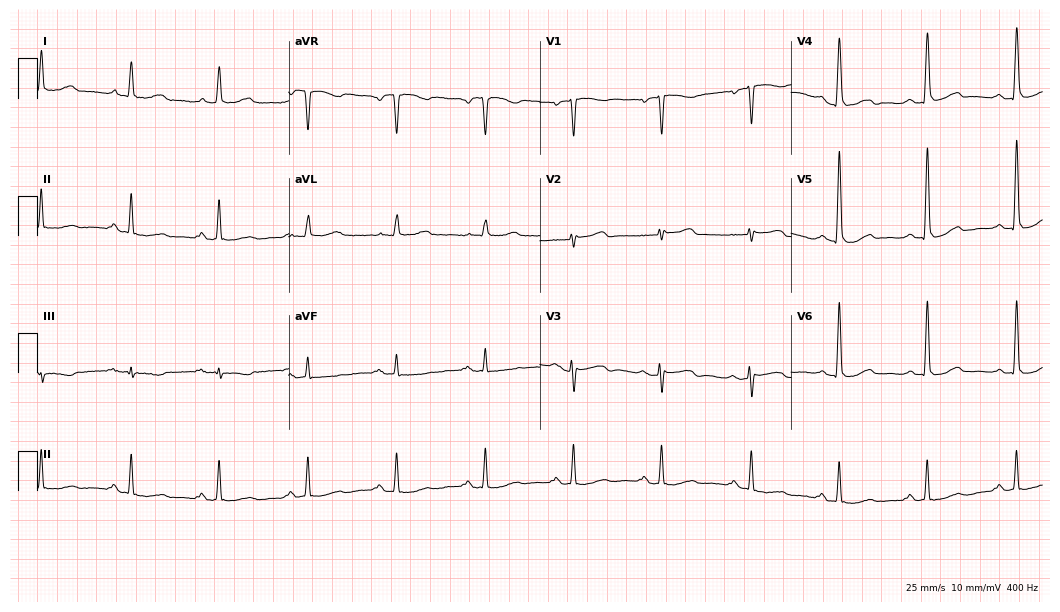
12-lead ECG from a 77-year-old female (10.2-second recording at 400 Hz). No first-degree AV block, right bundle branch block, left bundle branch block, sinus bradycardia, atrial fibrillation or sinus tachycardia recorded for this tracing.